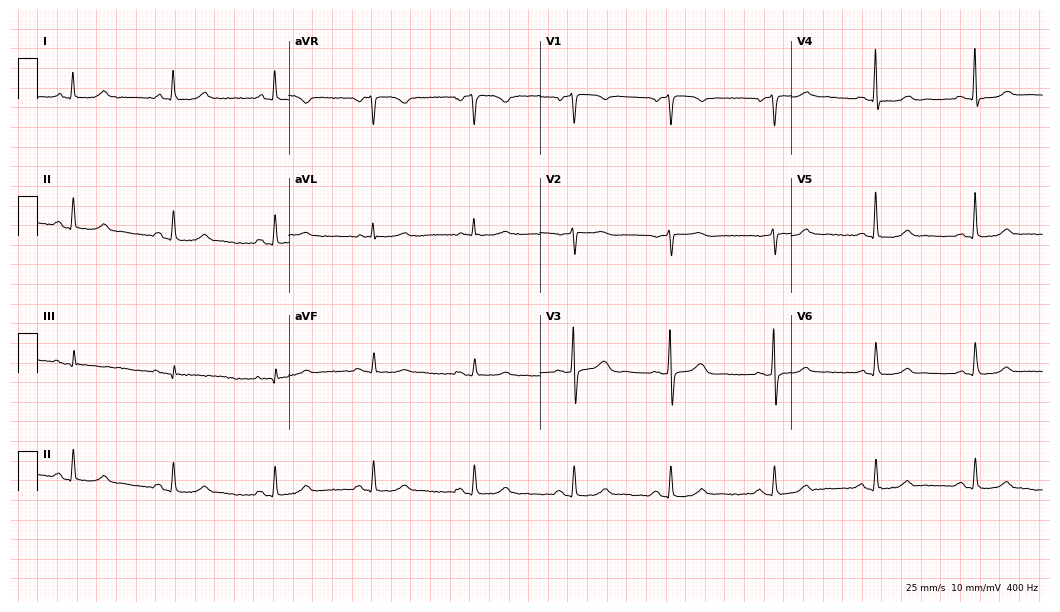
ECG (10.2-second recording at 400 Hz) — a female, 63 years old. Screened for six findings — first-degree AV block, right bundle branch block (RBBB), left bundle branch block (LBBB), sinus bradycardia, atrial fibrillation (AF), sinus tachycardia — none is recorded.